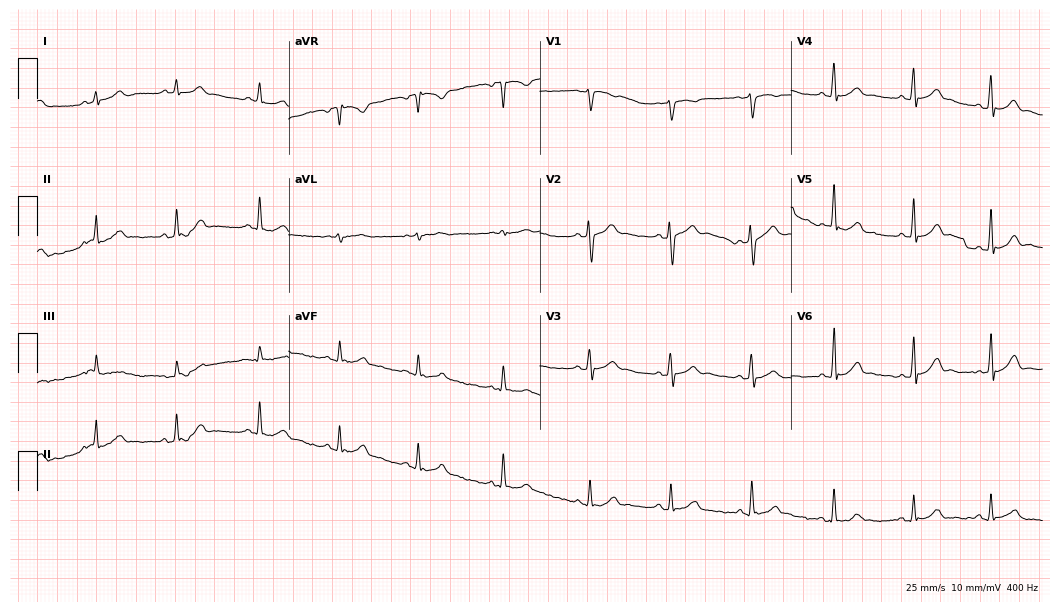
Resting 12-lead electrocardiogram (10.2-second recording at 400 Hz). Patient: a 33-year-old male. Read as a normal ECG.